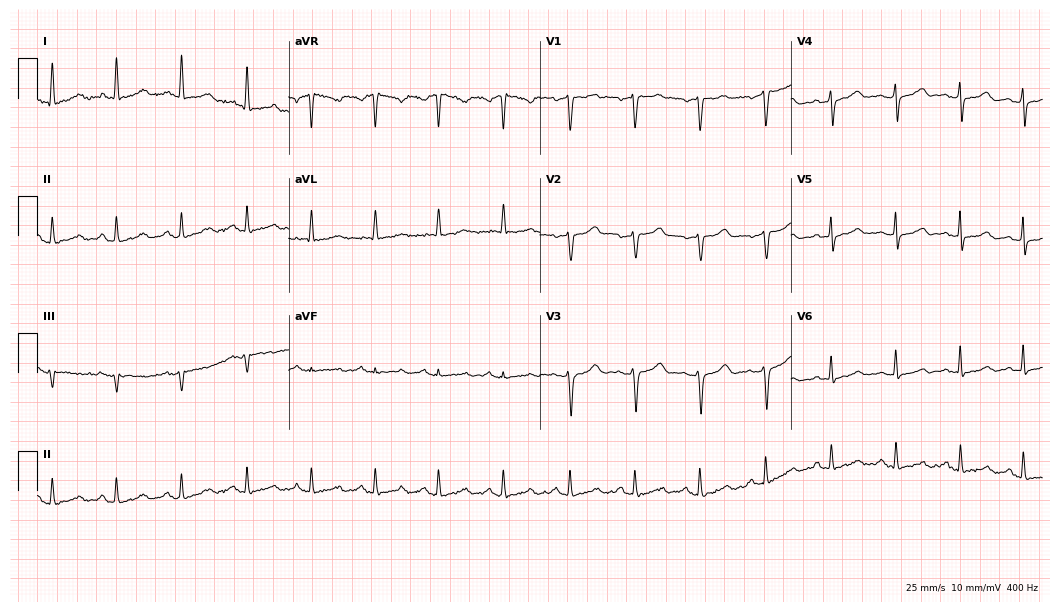
12-lead ECG (10.2-second recording at 400 Hz) from a female, 43 years old. Screened for six findings — first-degree AV block, right bundle branch block, left bundle branch block, sinus bradycardia, atrial fibrillation, sinus tachycardia — none is recorded. Other findings, if any, are not listed.